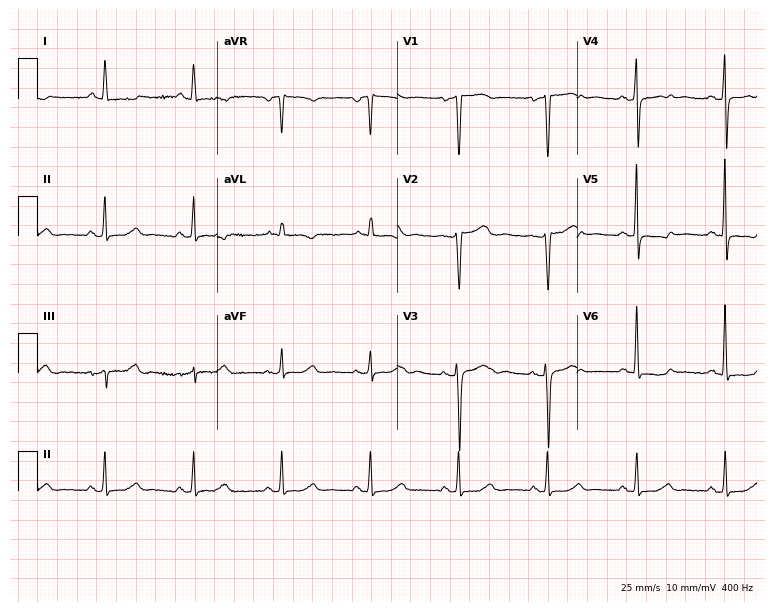
Electrocardiogram, a female patient, 74 years old. Of the six screened findings (first-degree AV block, right bundle branch block, left bundle branch block, sinus bradycardia, atrial fibrillation, sinus tachycardia), none is recorded. Only these six findings were labelled.